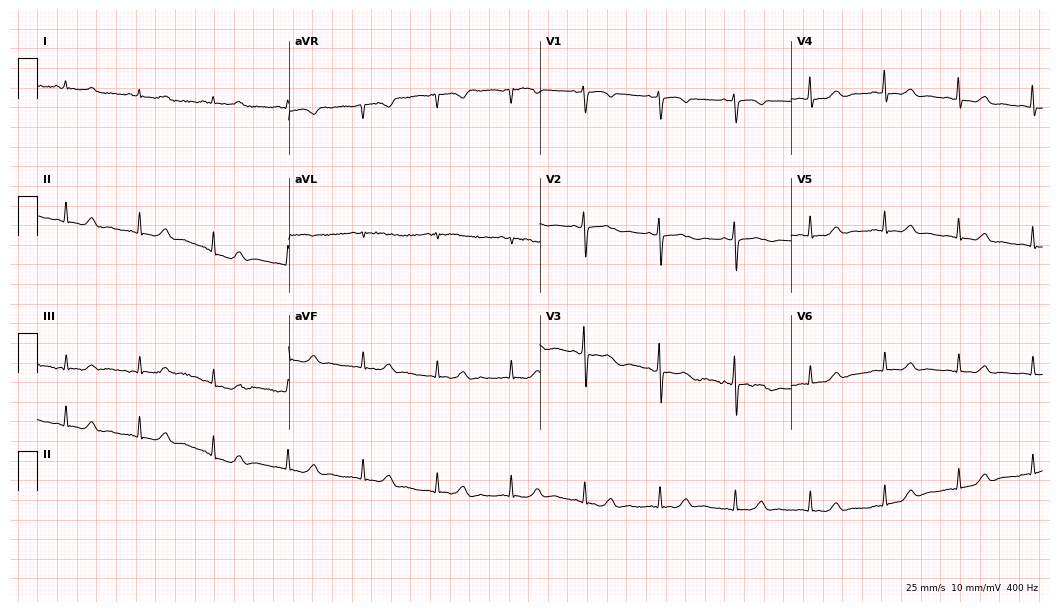
ECG — a 61-year-old woman. Screened for six findings — first-degree AV block, right bundle branch block (RBBB), left bundle branch block (LBBB), sinus bradycardia, atrial fibrillation (AF), sinus tachycardia — none is recorded. Only these six findings were labelled.